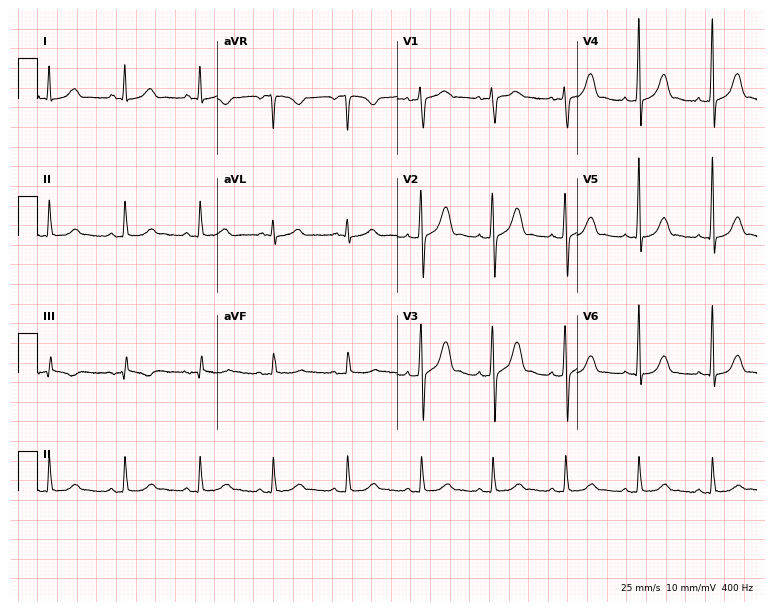
12-lead ECG (7.3-second recording at 400 Hz) from a female, 24 years old. Labelled as a normal ECG.